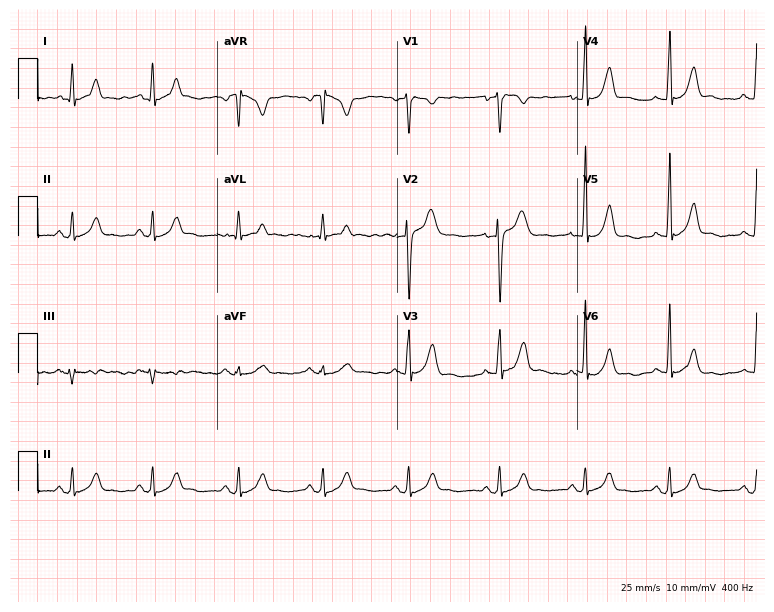
Resting 12-lead electrocardiogram (7.3-second recording at 400 Hz). Patient: a male, 25 years old. Read as a normal ECG.